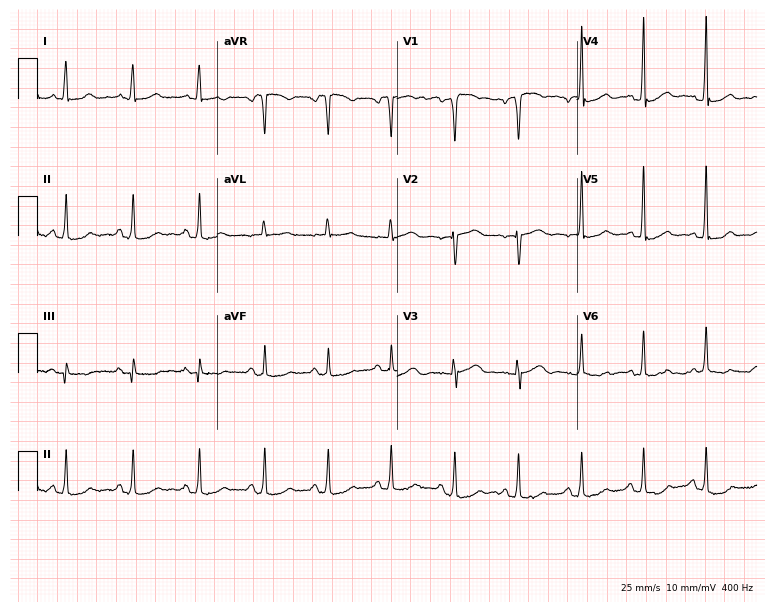
Electrocardiogram (7.3-second recording at 400 Hz), a female patient, 54 years old. Of the six screened findings (first-degree AV block, right bundle branch block, left bundle branch block, sinus bradycardia, atrial fibrillation, sinus tachycardia), none is recorded. Only these six findings were labelled.